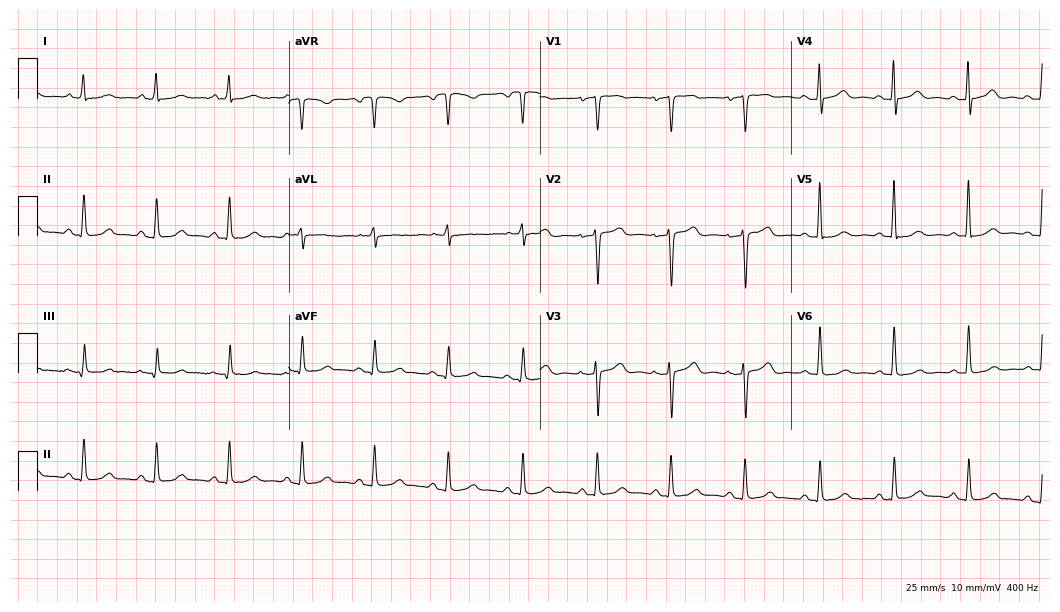
Electrocardiogram (10.2-second recording at 400 Hz), a woman, 65 years old. Of the six screened findings (first-degree AV block, right bundle branch block, left bundle branch block, sinus bradycardia, atrial fibrillation, sinus tachycardia), none is recorded. Only these six findings were labelled.